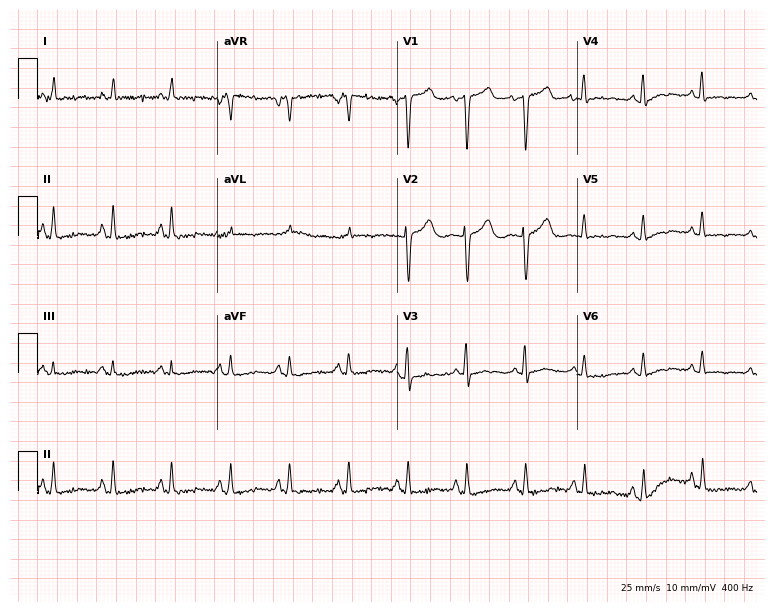
12-lead ECG (7.3-second recording at 400 Hz) from a female, 62 years old. Screened for six findings — first-degree AV block, right bundle branch block, left bundle branch block, sinus bradycardia, atrial fibrillation, sinus tachycardia — none is recorded. Only these six findings were labelled.